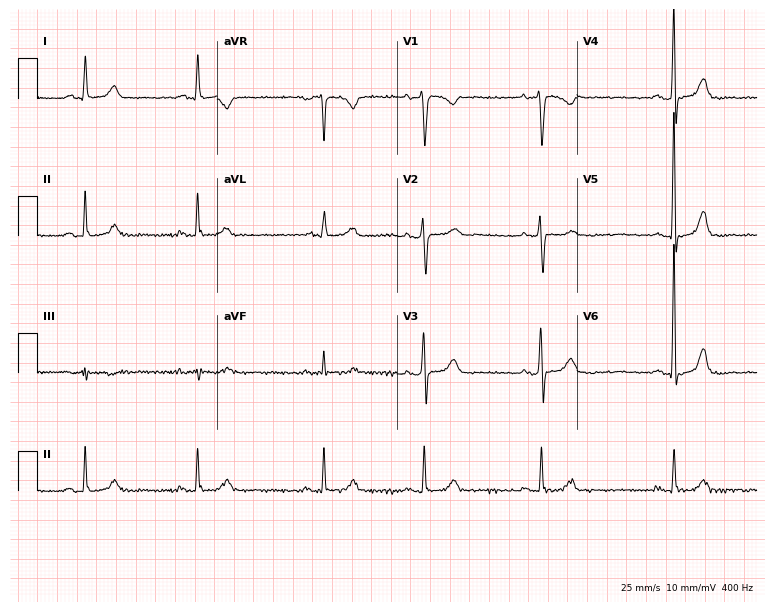
12-lead ECG from a 69-year-old man (7.3-second recording at 400 Hz). Shows sinus bradycardia (a sinus rate of 50 beats per minute or less).